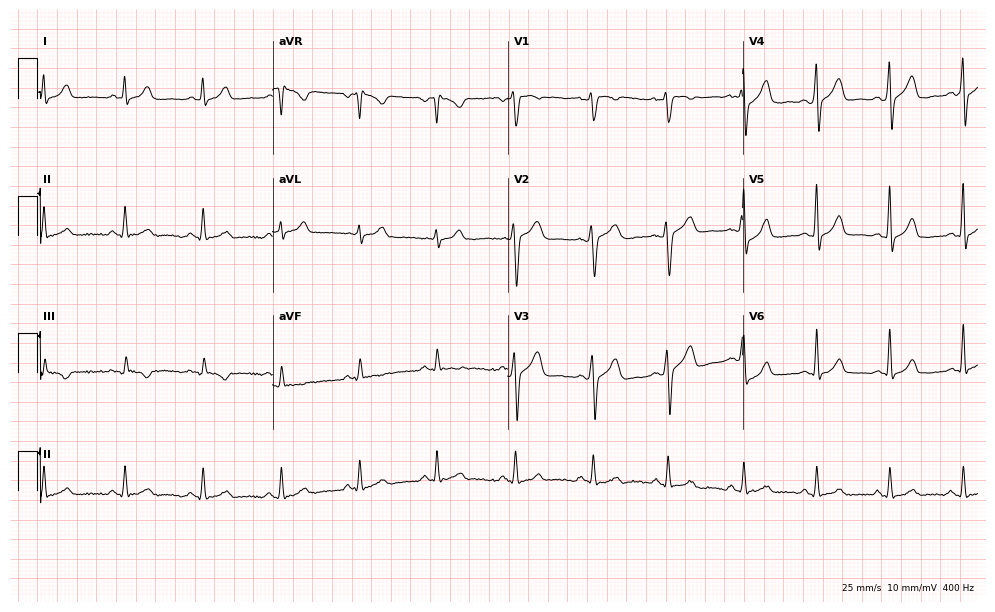
Standard 12-lead ECG recorded from a man, 33 years old. None of these six findings is recorded: first-degree AV block, right bundle branch block, left bundle branch block, sinus bradycardia, atrial fibrillation, sinus tachycardia.